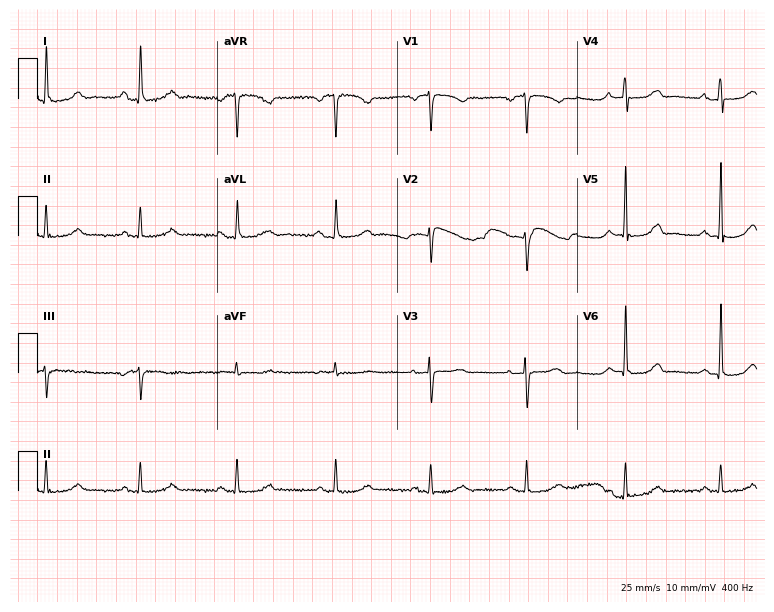
Standard 12-lead ECG recorded from a woman, 72 years old (7.3-second recording at 400 Hz). Read as a normal ECG.